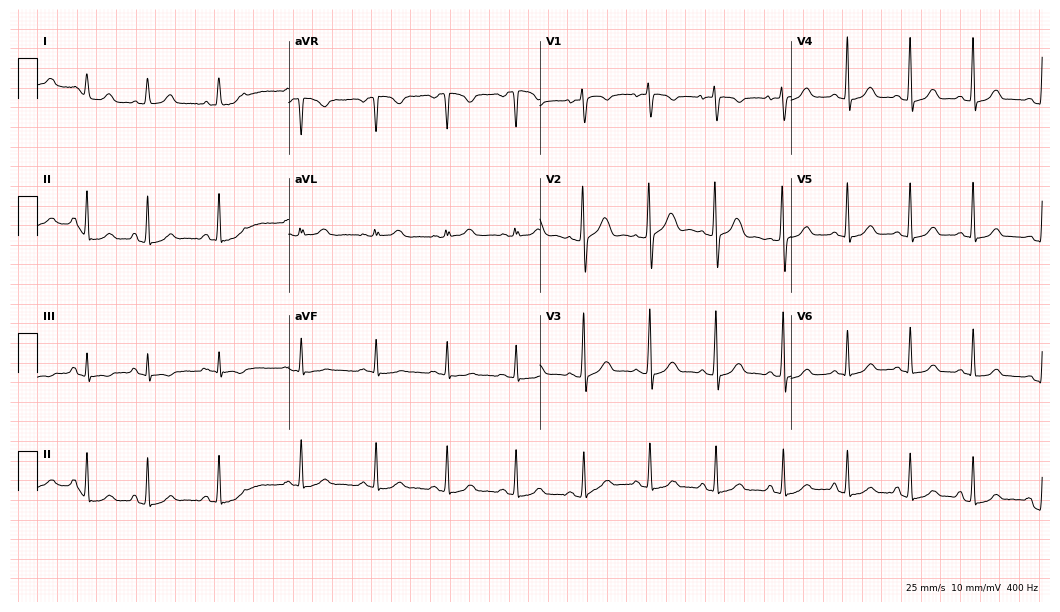
12-lead ECG from a female patient, 27 years old (10.2-second recording at 400 Hz). No first-degree AV block, right bundle branch block (RBBB), left bundle branch block (LBBB), sinus bradycardia, atrial fibrillation (AF) or sinus tachycardia recorded for this tracing. Findings outside these six are not listed.